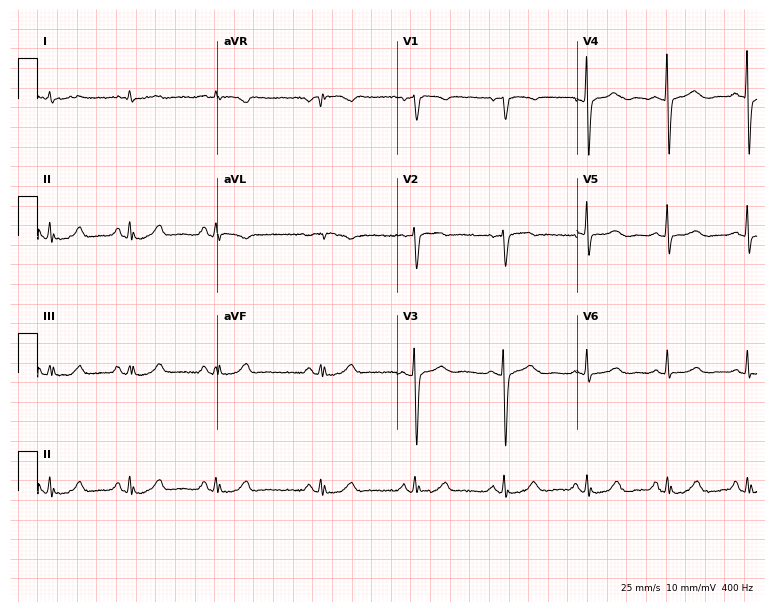
ECG (7.3-second recording at 400 Hz) — a 71-year-old male patient. Screened for six findings — first-degree AV block, right bundle branch block, left bundle branch block, sinus bradycardia, atrial fibrillation, sinus tachycardia — none is recorded.